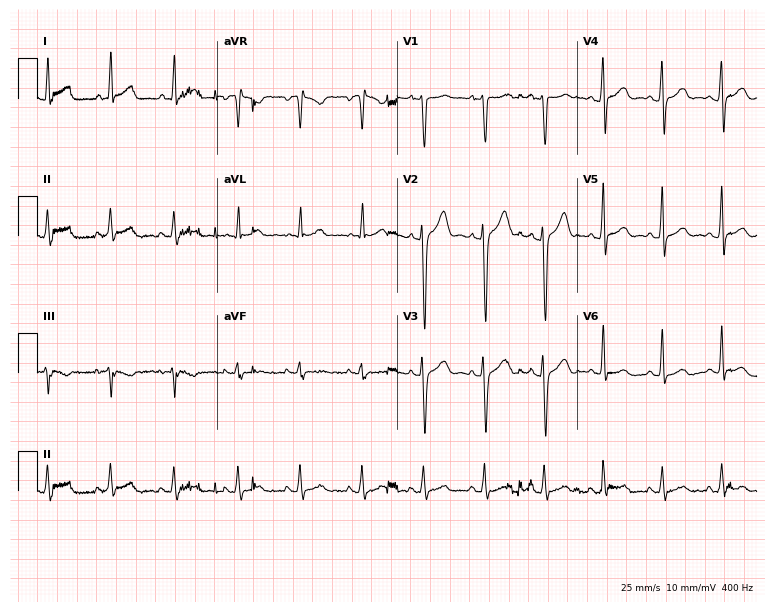
Electrocardiogram, a male patient, 23 years old. Overall reading on record: normal ECG.